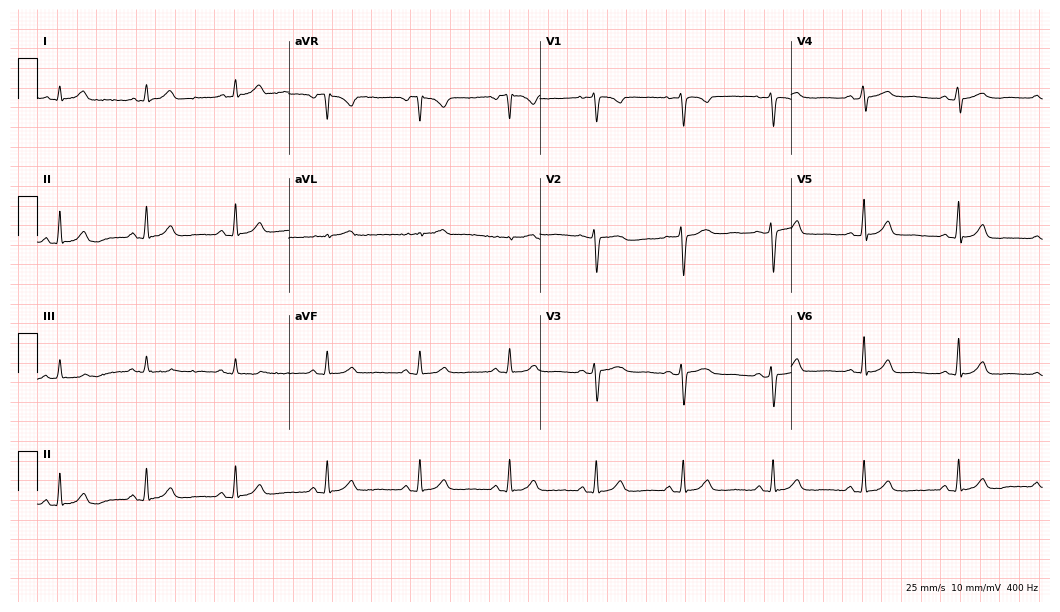
Electrocardiogram, a female, 49 years old. Overall reading on record: normal ECG.